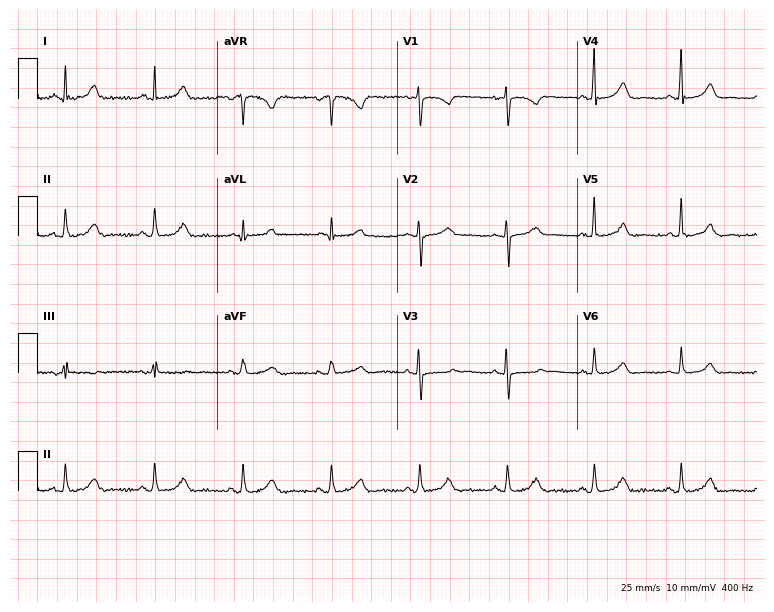
12-lead ECG from a female patient, 52 years old (7.3-second recording at 400 Hz). Recorded interpretation: within normal limits.